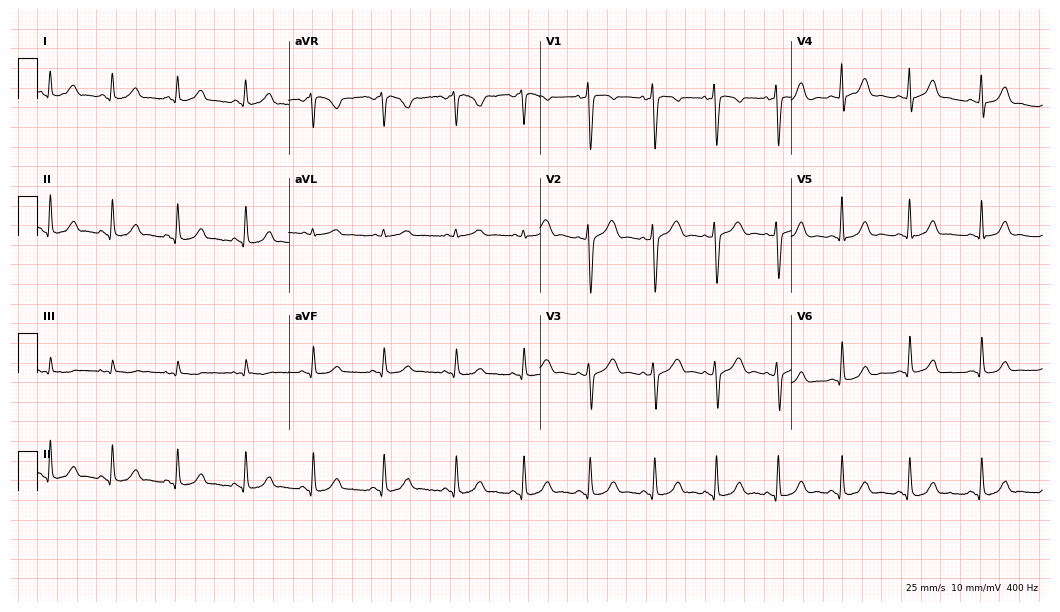
12-lead ECG (10.2-second recording at 400 Hz) from a woman, 30 years old. Screened for six findings — first-degree AV block, right bundle branch block, left bundle branch block, sinus bradycardia, atrial fibrillation, sinus tachycardia — none is recorded.